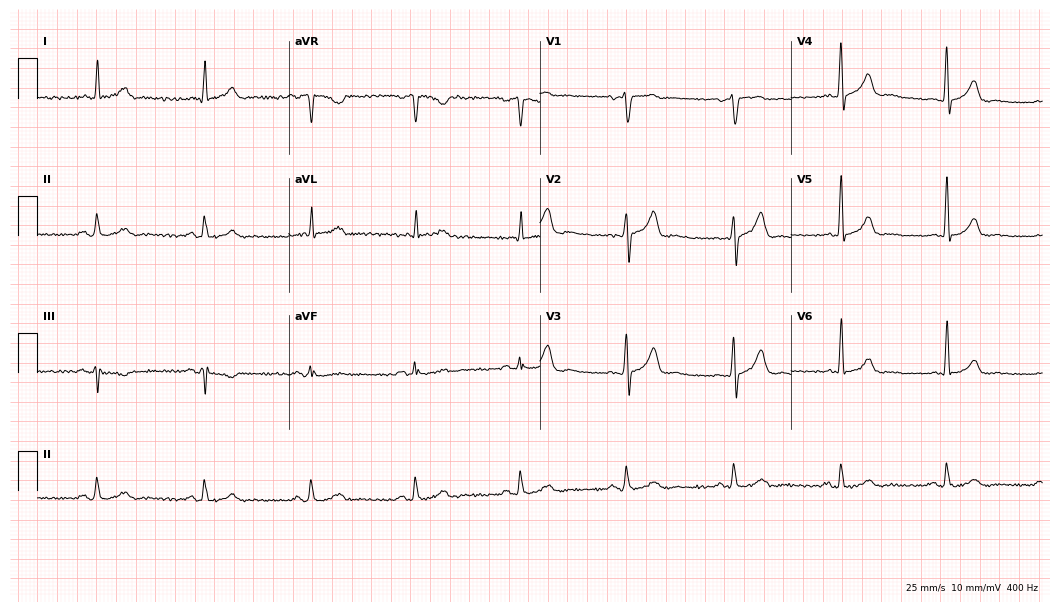
Resting 12-lead electrocardiogram (10.2-second recording at 400 Hz). Patient: a 73-year-old male. Read as a normal ECG.